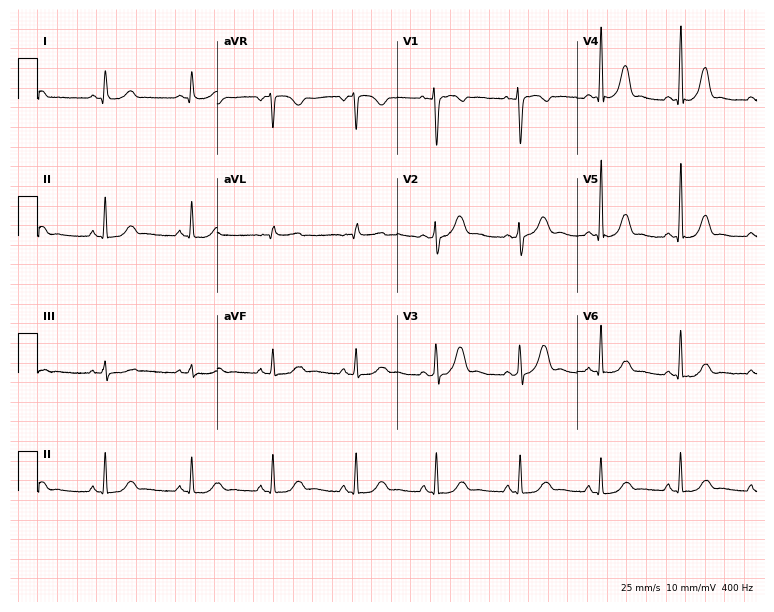
Electrocardiogram (7.3-second recording at 400 Hz), a female patient, 35 years old. Overall reading on record: normal ECG.